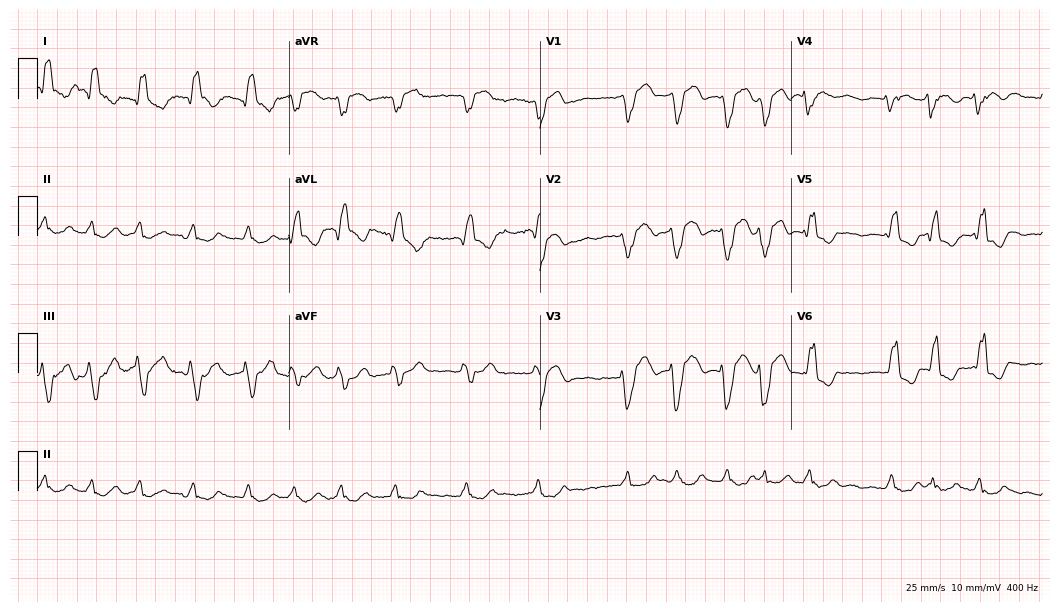
Standard 12-lead ECG recorded from a male, 63 years old (10.2-second recording at 400 Hz). The tracing shows left bundle branch block, atrial fibrillation.